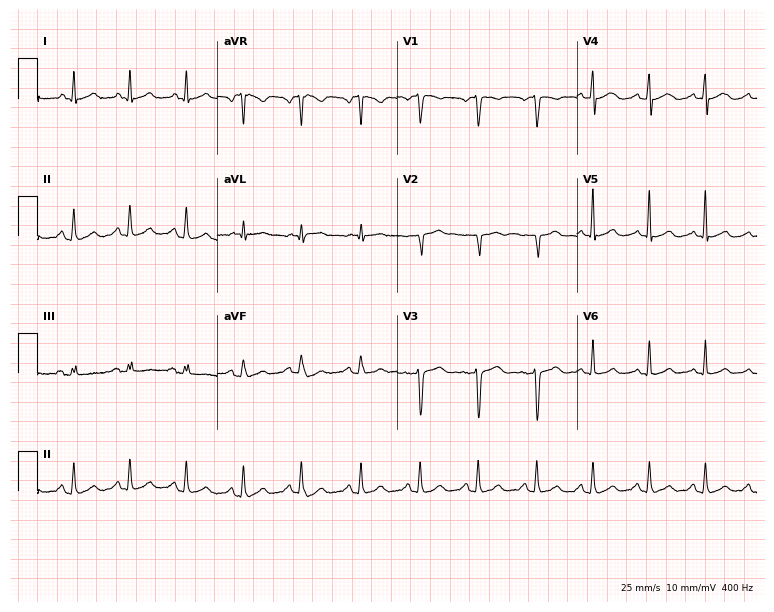
Electrocardiogram, a 47-year-old woman. Interpretation includes sinus tachycardia (a sinus rate of 100 beats per minute or more).